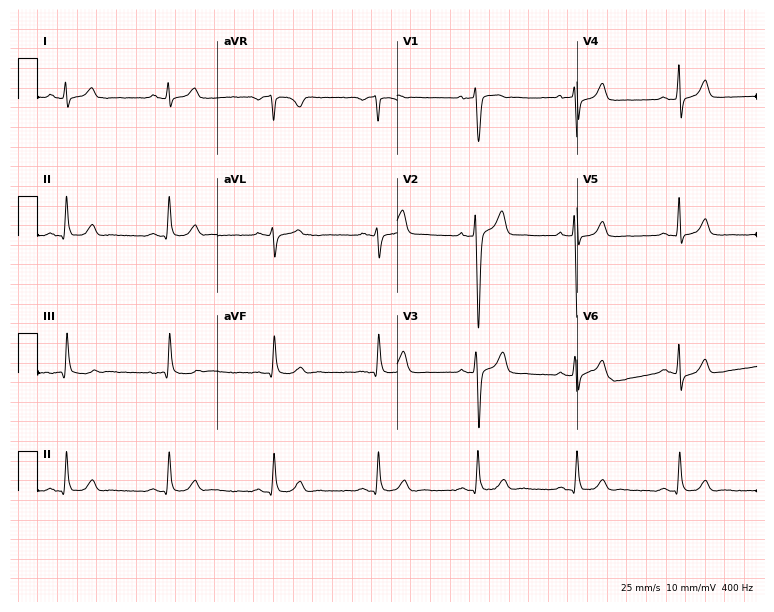
Standard 12-lead ECG recorded from a man, 30 years old. None of these six findings is recorded: first-degree AV block, right bundle branch block (RBBB), left bundle branch block (LBBB), sinus bradycardia, atrial fibrillation (AF), sinus tachycardia.